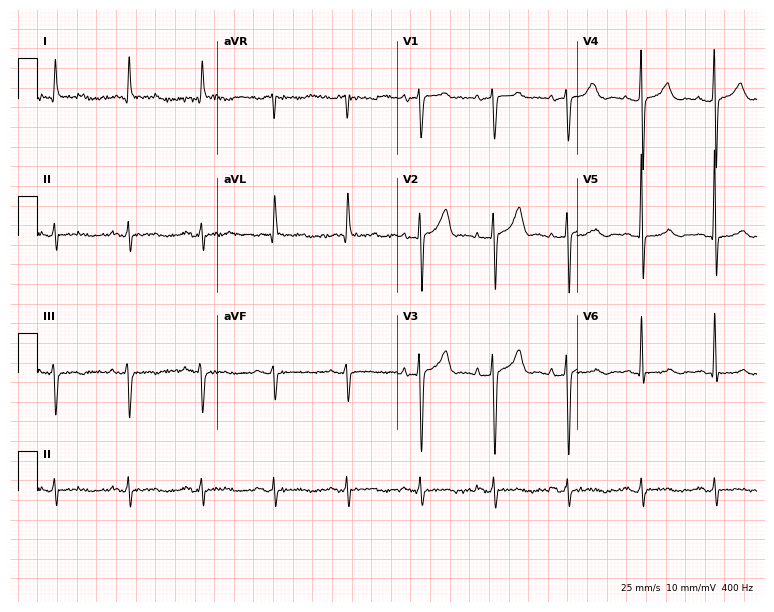
Standard 12-lead ECG recorded from a male patient, 63 years old (7.3-second recording at 400 Hz). None of these six findings is recorded: first-degree AV block, right bundle branch block, left bundle branch block, sinus bradycardia, atrial fibrillation, sinus tachycardia.